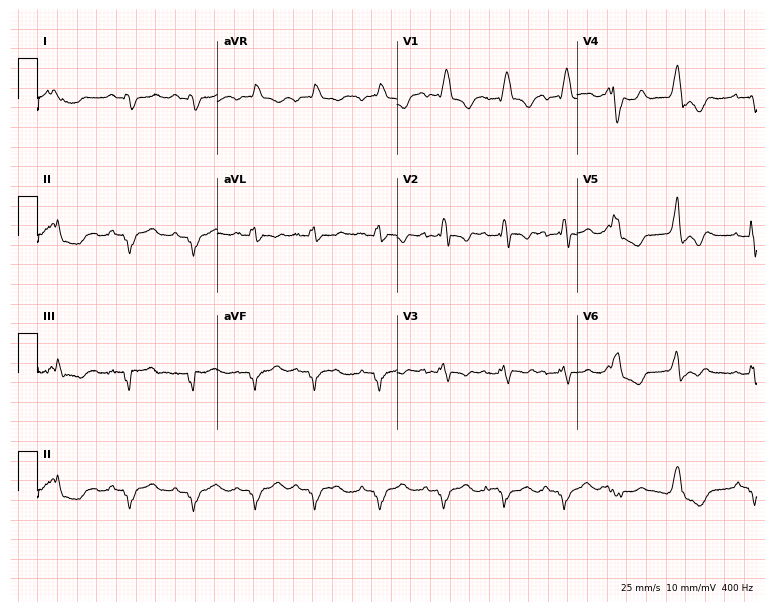
12-lead ECG from a male patient, 43 years old (7.3-second recording at 400 Hz). Shows right bundle branch block.